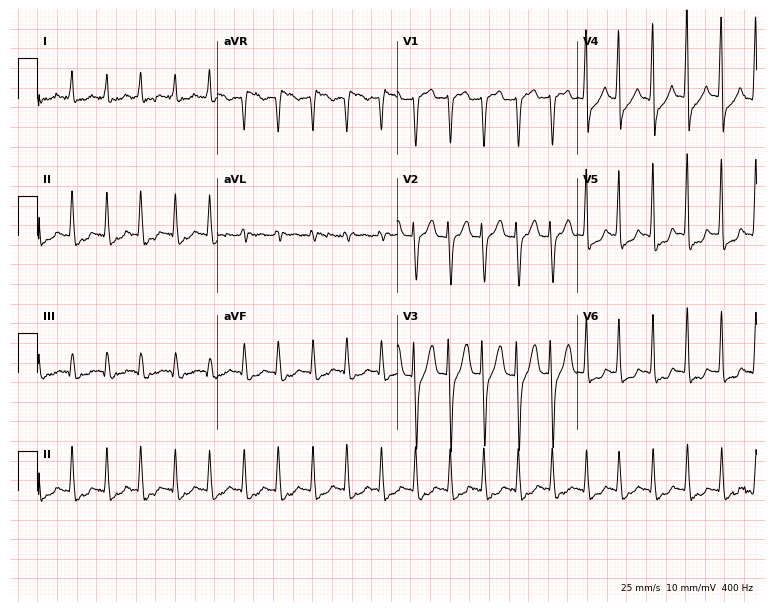
Standard 12-lead ECG recorded from a man, 57 years old (7.3-second recording at 400 Hz). The tracing shows sinus tachycardia (a sinus rate of 100 beats per minute or more).